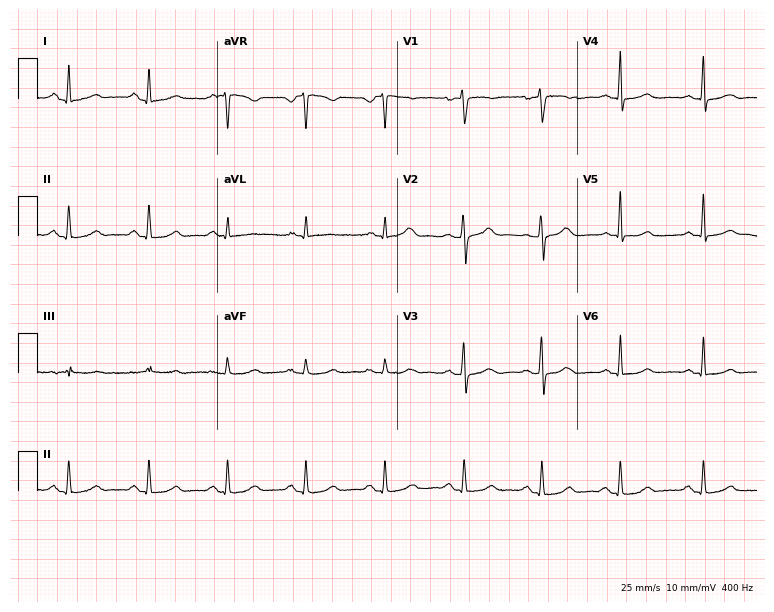
ECG (7.3-second recording at 400 Hz) — a female, 36 years old. Screened for six findings — first-degree AV block, right bundle branch block, left bundle branch block, sinus bradycardia, atrial fibrillation, sinus tachycardia — none is recorded.